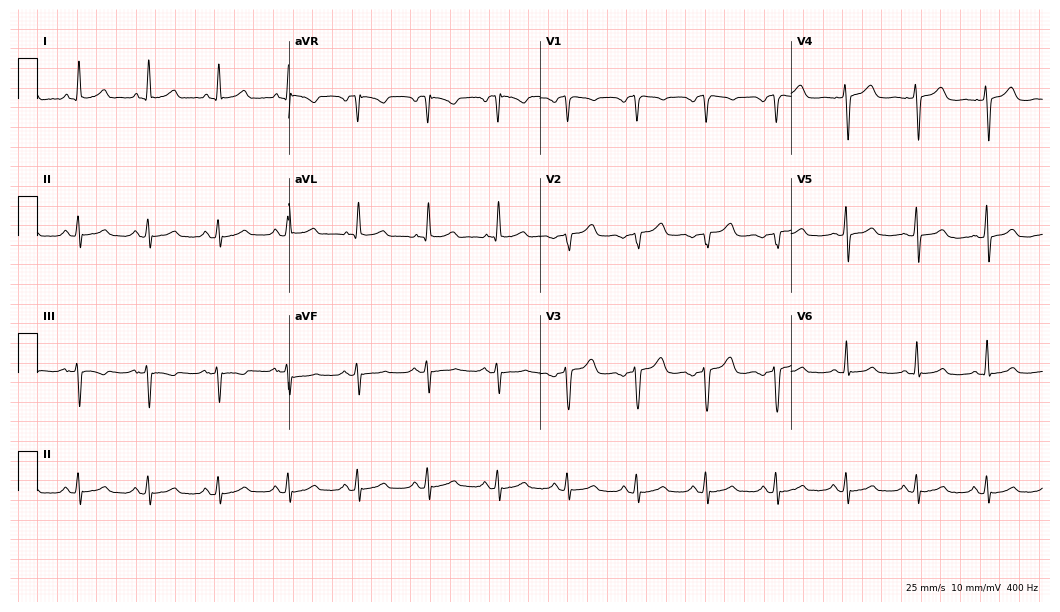
12-lead ECG from a 58-year-old female. Labelled as a normal ECG.